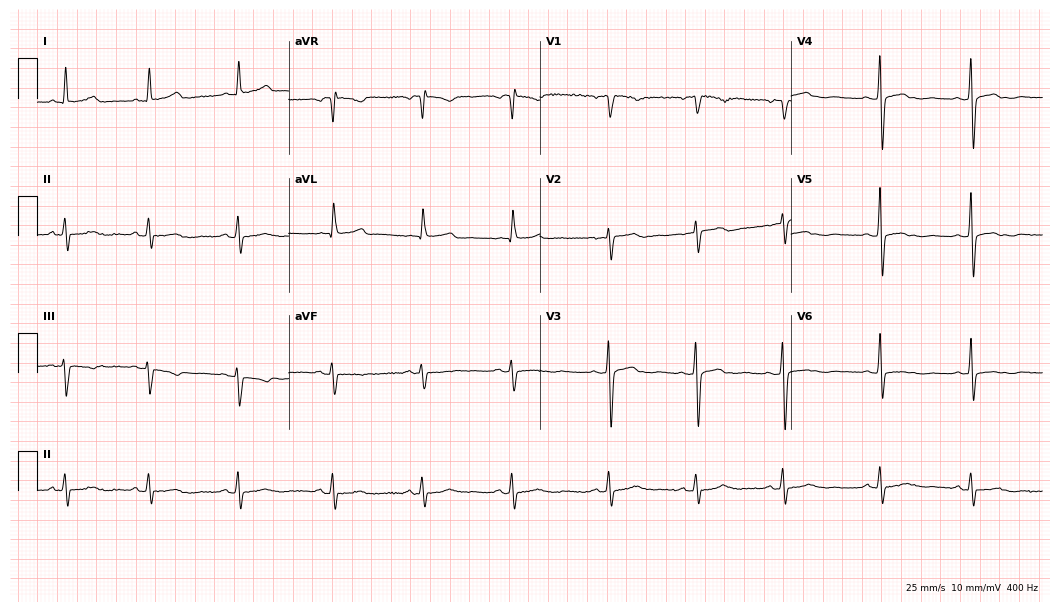
Electrocardiogram (10.2-second recording at 400 Hz), a 62-year-old woman. Of the six screened findings (first-degree AV block, right bundle branch block (RBBB), left bundle branch block (LBBB), sinus bradycardia, atrial fibrillation (AF), sinus tachycardia), none is recorded.